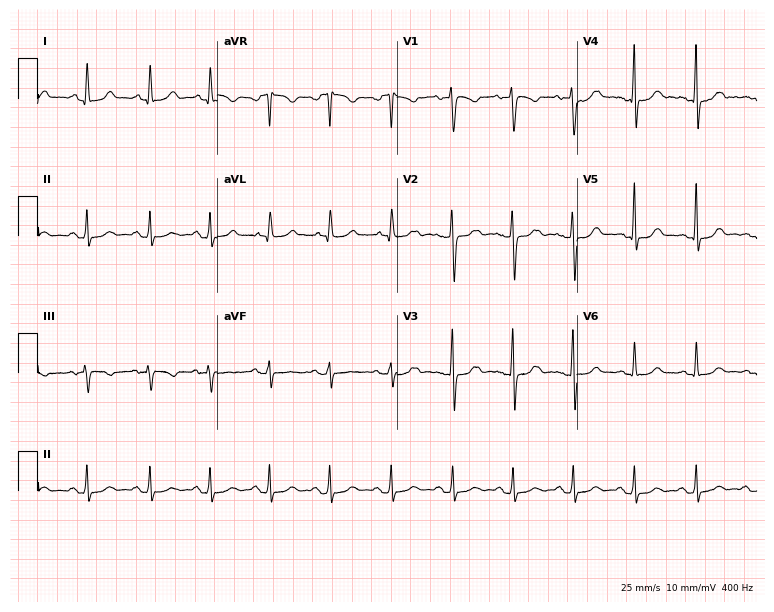
Resting 12-lead electrocardiogram (7.3-second recording at 400 Hz). Patient: a 32-year-old woman. None of these six findings is recorded: first-degree AV block, right bundle branch block, left bundle branch block, sinus bradycardia, atrial fibrillation, sinus tachycardia. Findings outside these six are not listed.